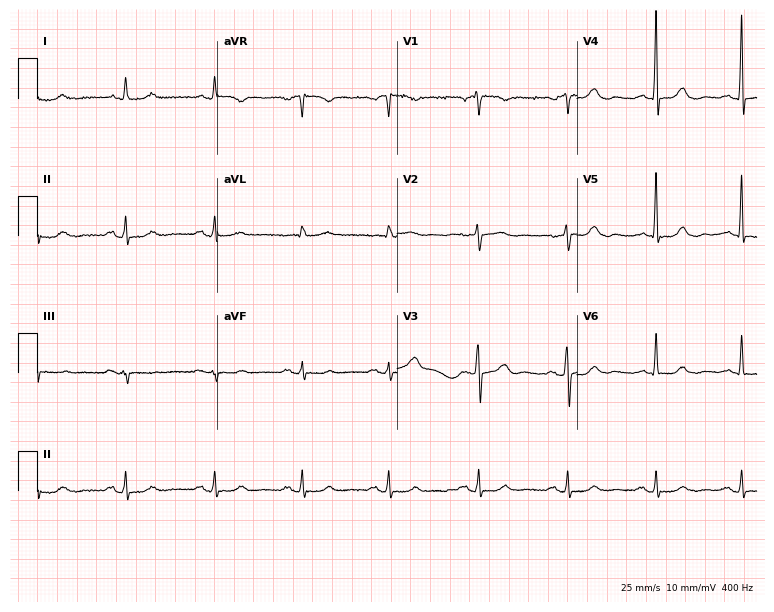
12-lead ECG from a male patient, 84 years old. Recorded interpretation: within normal limits.